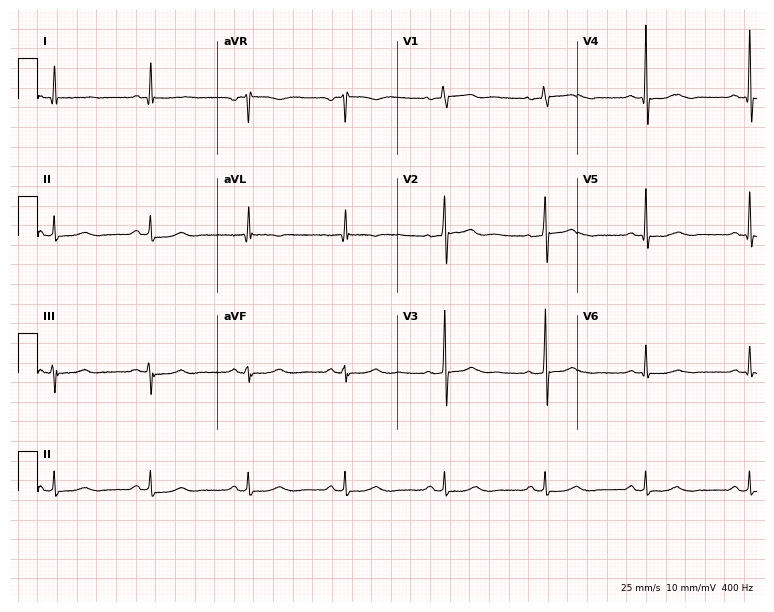
12-lead ECG from a 75-year-old man (7.3-second recording at 400 Hz). No first-degree AV block, right bundle branch block (RBBB), left bundle branch block (LBBB), sinus bradycardia, atrial fibrillation (AF) or sinus tachycardia recorded for this tracing. Findings outside these six are not listed.